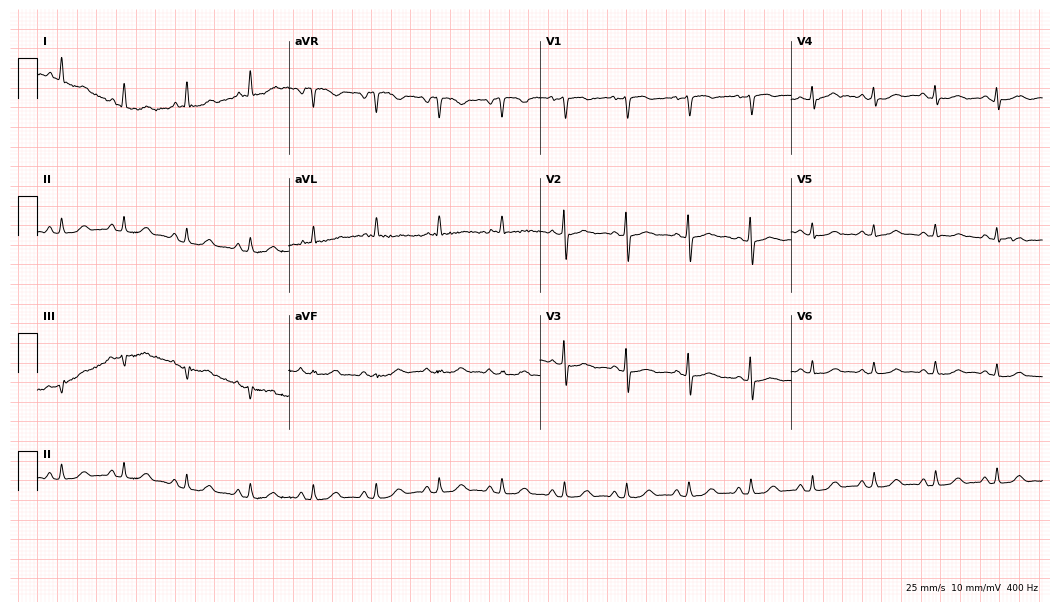
12-lead ECG from a female, 60 years old. Labelled as a normal ECG.